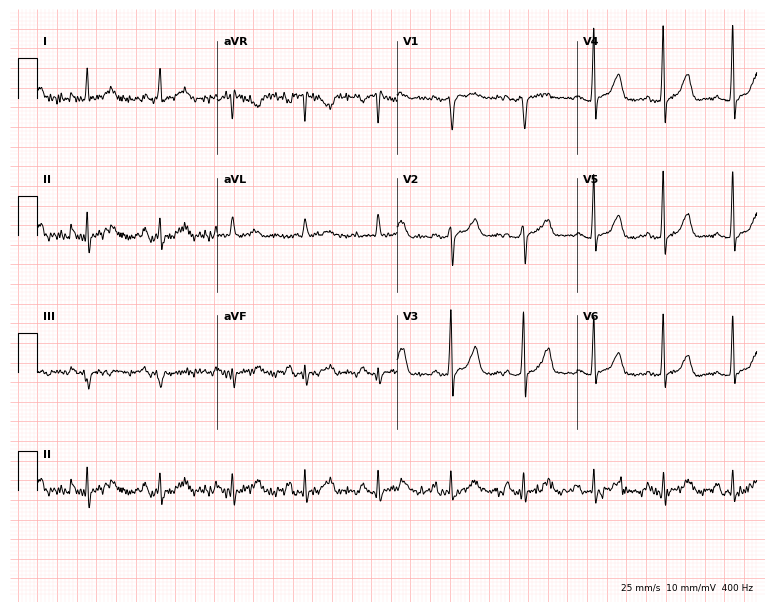
12-lead ECG (7.3-second recording at 400 Hz) from a 53-year-old woman. Screened for six findings — first-degree AV block, right bundle branch block, left bundle branch block, sinus bradycardia, atrial fibrillation, sinus tachycardia — none is recorded.